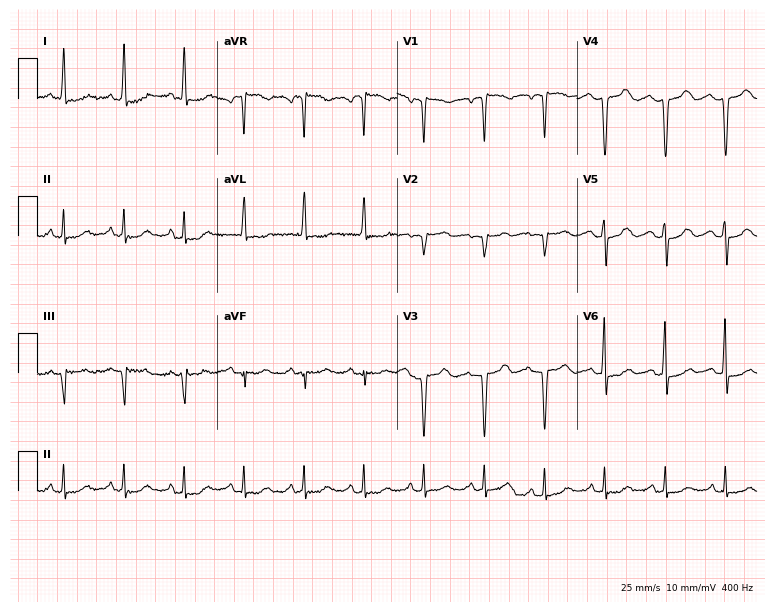
Standard 12-lead ECG recorded from a 66-year-old female (7.3-second recording at 400 Hz). None of these six findings is recorded: first-degree AV block, right bundle branch block (RBBB), left bundle branch block (LBBB), sinus bradycardia, atrial fibrillation (AF), sinus tachycardia.